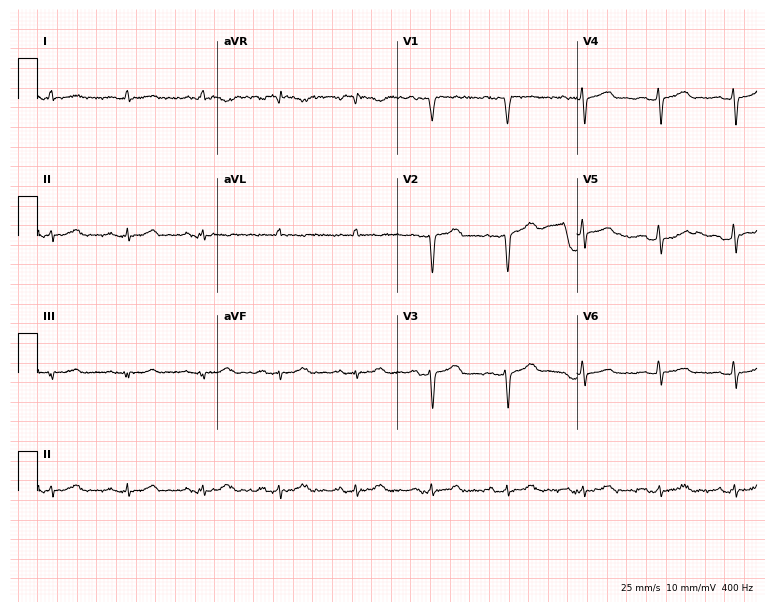
Resting 12-lead electrocardiogram. Patient: a 58-year-old man. None of these six findings is recorded: first-degree AV block, right bundle branch block, left bundle branch block, sinus bradycardia, atrial fibrillation, sinus tachycardia.